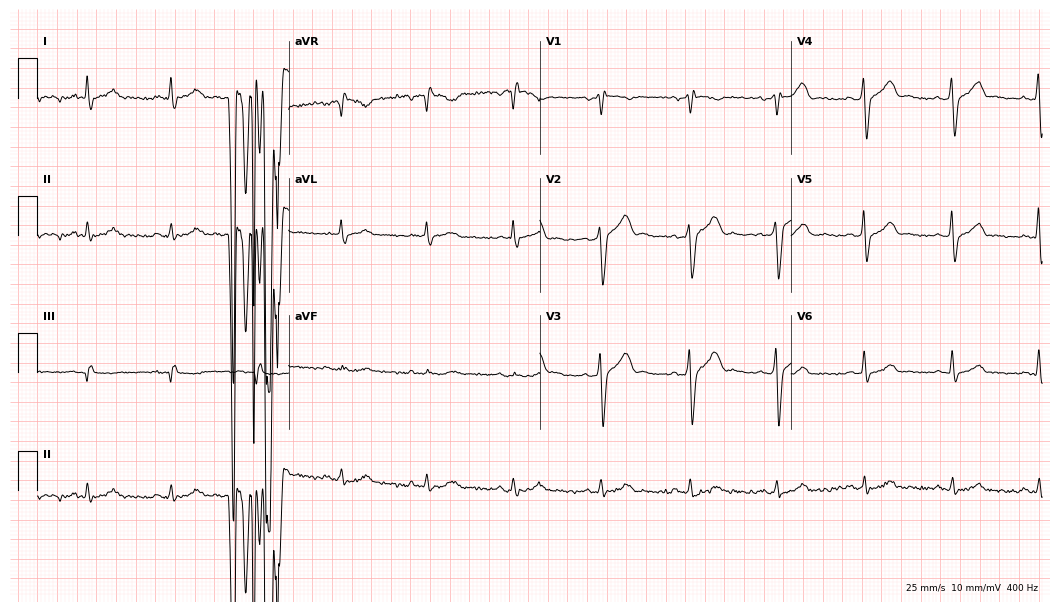
Standard 12-lead ECG recorded from a 64-year-old man. None of these six findings is recorded: first-degree AV block, right bundle branch block (RBBB), left bundle branch block (LBBB), sinus bradycardia, atrial fibrillation (AF), sinus tachycardia.